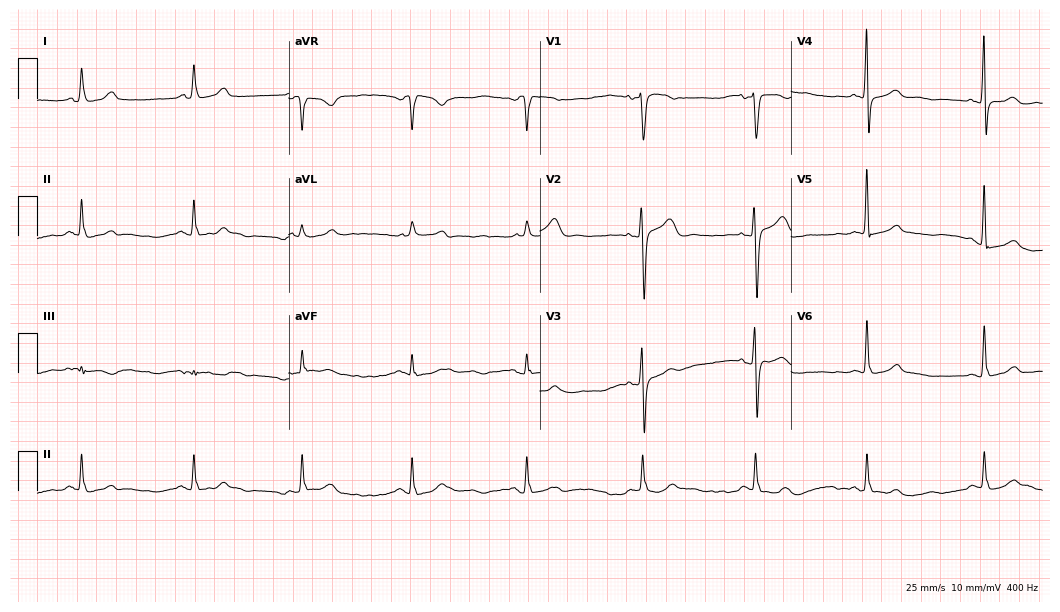
ECG — a female, 63 years old. Labelled as a normal ECG.